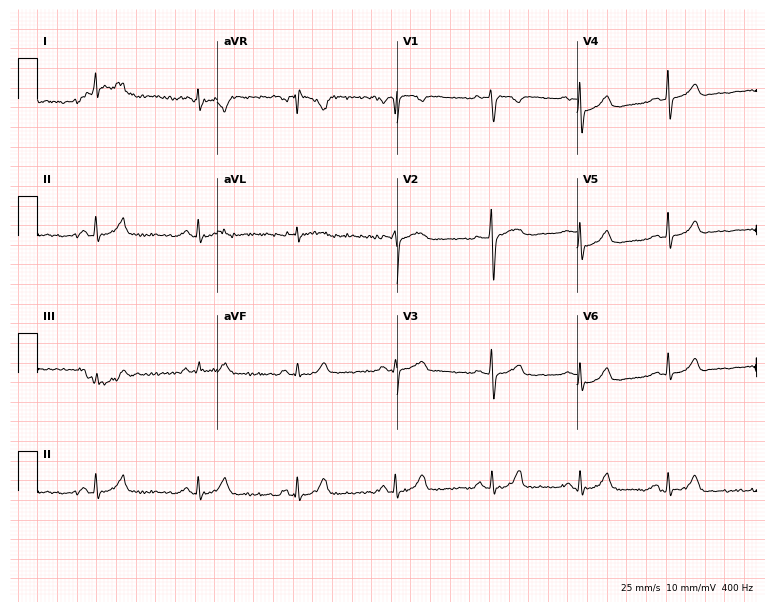
12-lead ECG (7.3-second recording at 400 Hz) from a 32-year-old female. Screened for six findings — first-degree AV block, right bundle branch block (RBBB), left bundle branch block (LBBB), sinus bradycardia, atrial fibrillation (AF), sinus tachycardia — none is recorded.